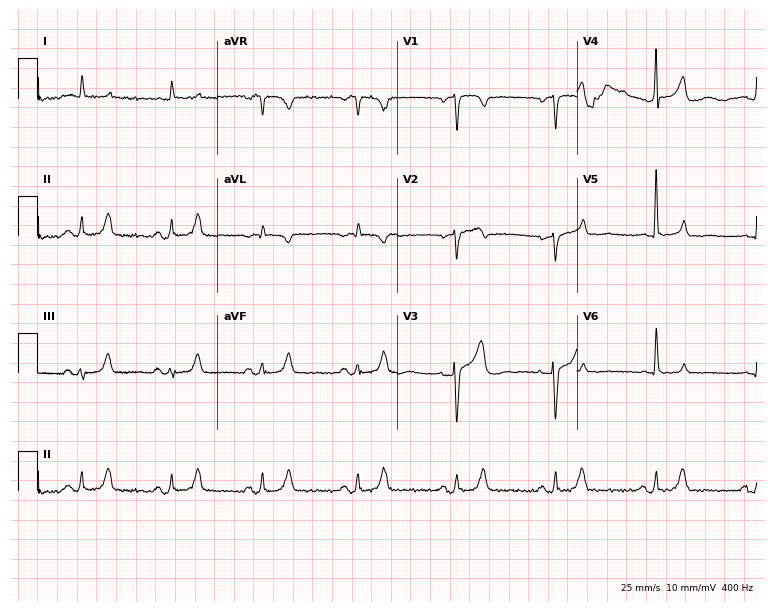
Resting 12-lead electrocardiogram (7.3-second recording at 400 Hz). Patient: a 77-year-old male. Read as a normal ECG.